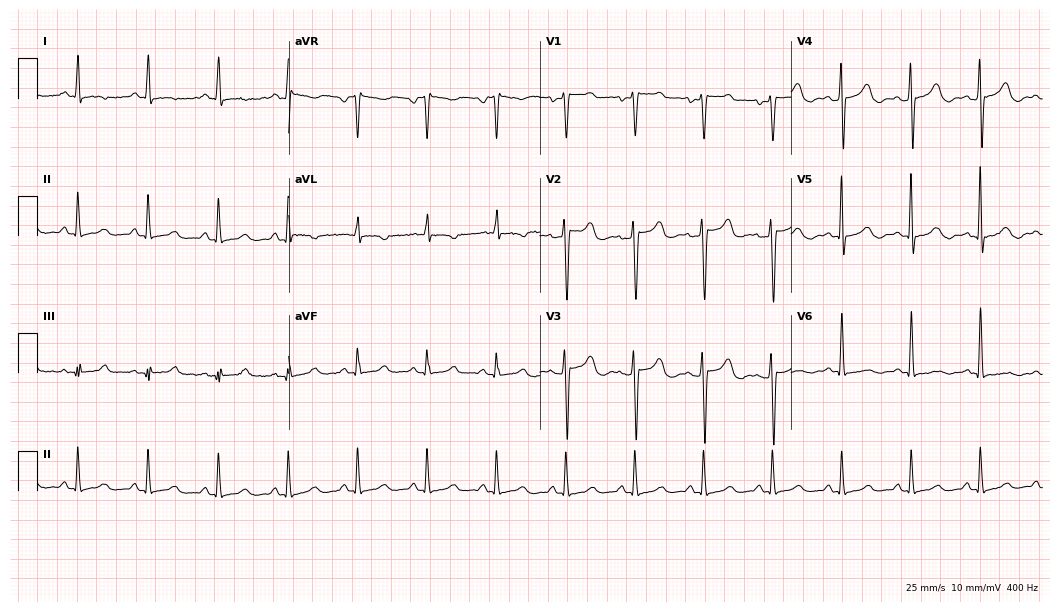
12-lead ECG from a female patient, 43 years old. No first-degree AV block, right bundle branch block, left bundle branch block, sinus bradycardia, atrial fibrillation or sinus tachycardia recorded for this tracing.